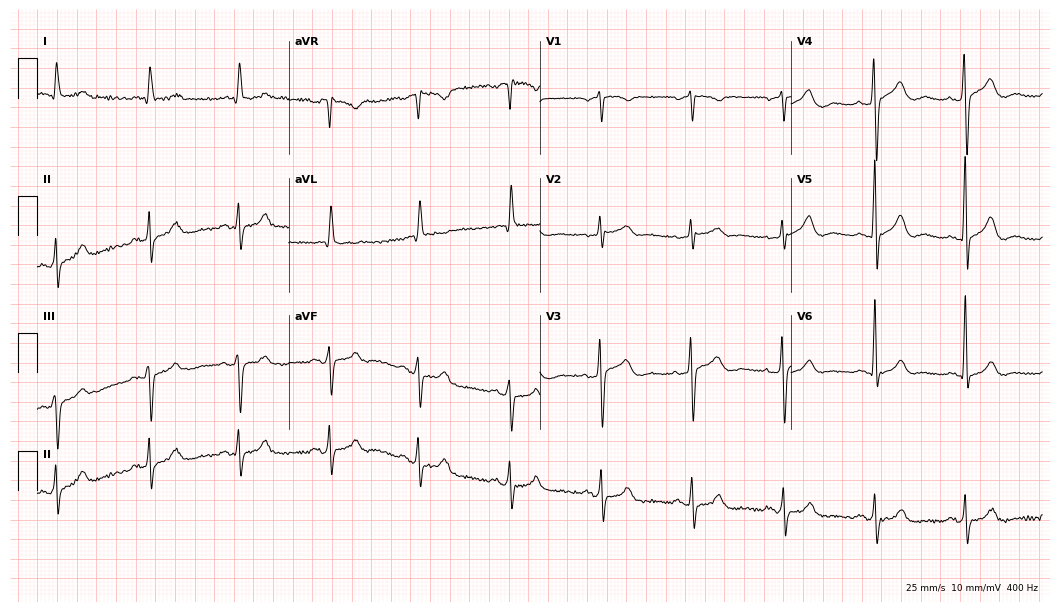
12-lead ECG from a 78-year-old woman (10.2-second recording at 400 Hz). No first-degree AV block, right bundle branch block, left bundle branch block, sinus bradycardia, atrial fibrillation or sinus tachycardia recorded for this tracing.